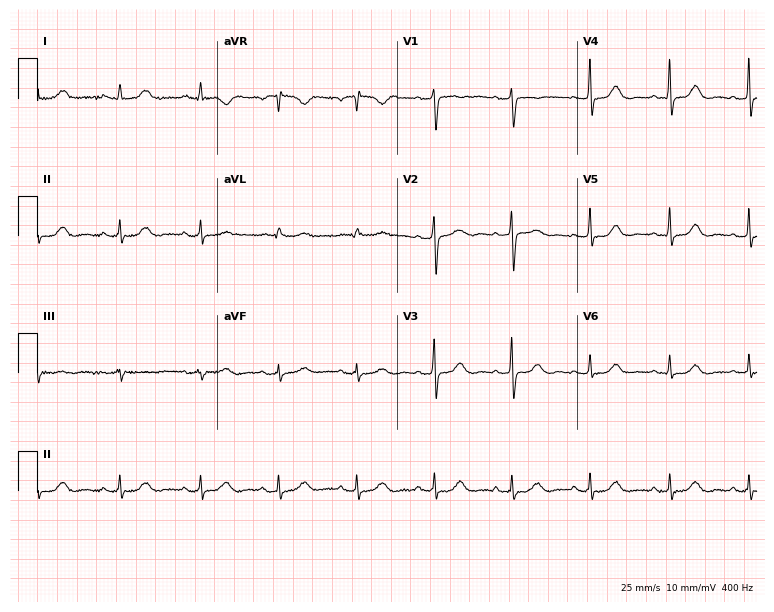
12-lead ECG from a 68-year-old female. Labelled as a normal ECG.